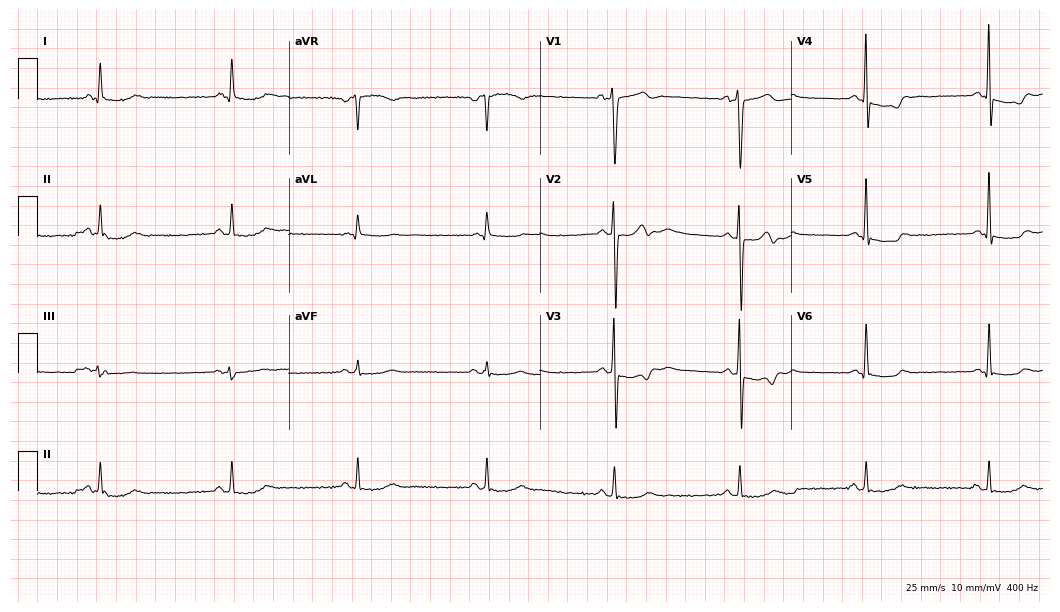
12-lead ECG from a male patient, 67 years old. No first-degree AV block, right bundle branch block, left bundle branch block, sinus bradycardia, atrial fibrillation or sinus tachycardia recorded for this tracing.